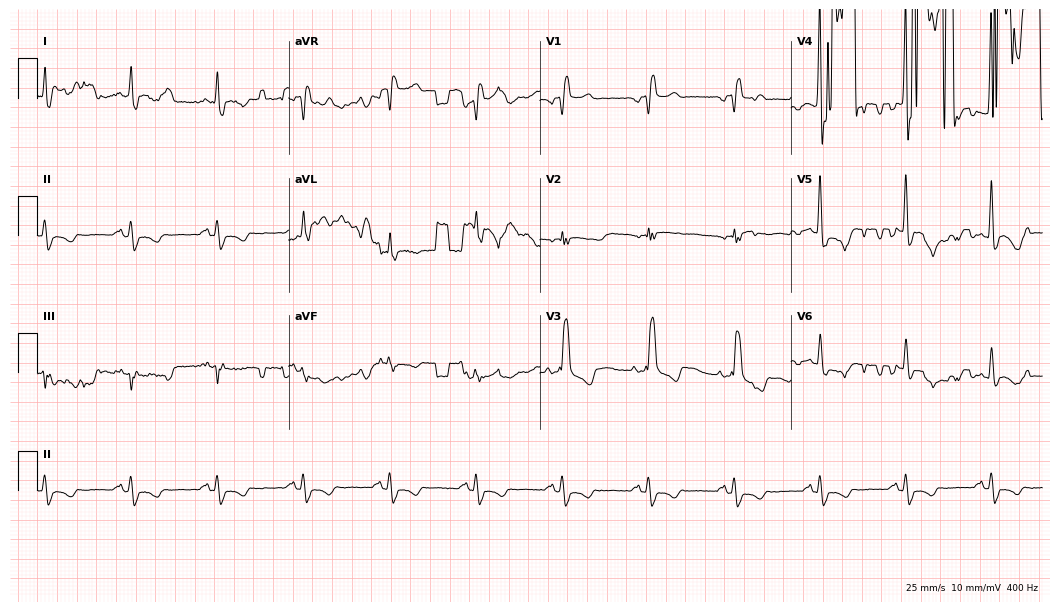
Electrocardiogram (10.2-second recording at 400 Hz), a male patient, 55 years old. Of the six screened findings (first-degree AV block, right bundle branch block (RBBB), left bundle branch block (LBBB), sinus bradycardia, atrial fibrillation (AF), sinus tachycardia), none is recorded. Other findings, if any, are not listed.